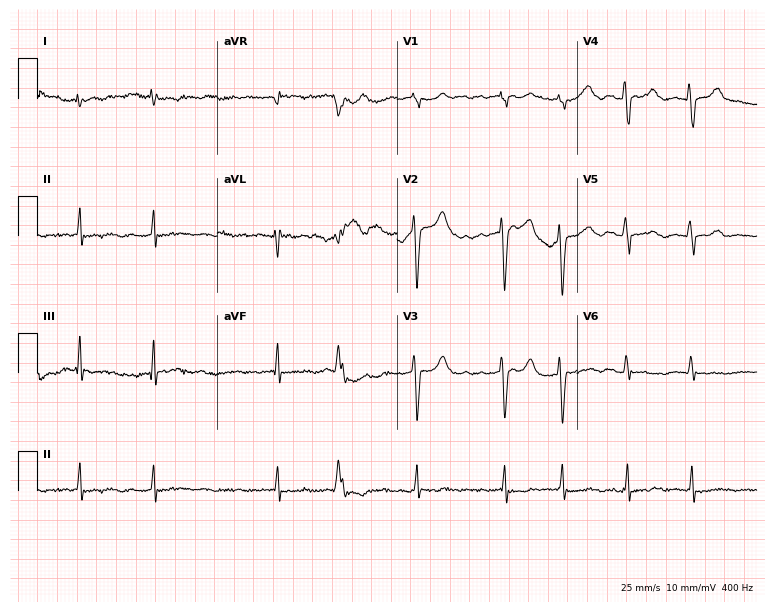
12-lead ECG from a woman, 45 years old (7.3-second recording at 400 Hz). Shows atrial fibrillation (AF).